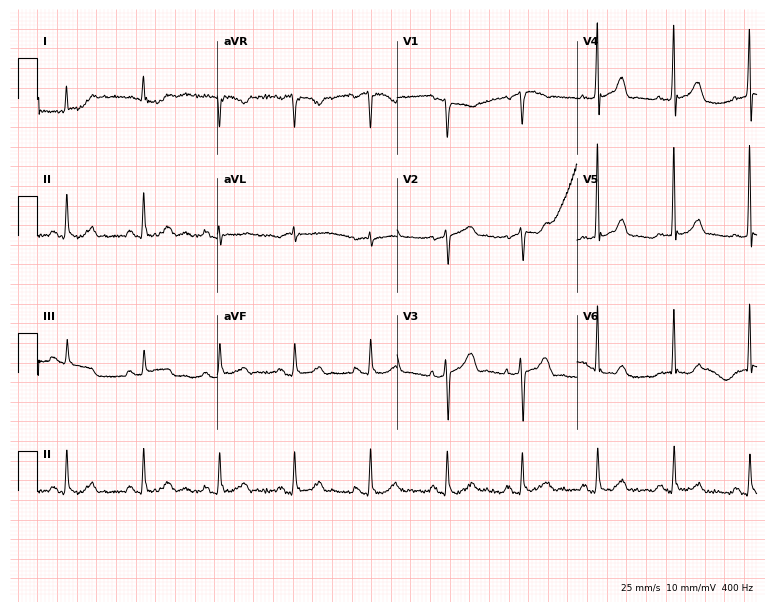
Standard 12-lead ECG recorded from a woman, 80 years old. Read as a normal ECG.